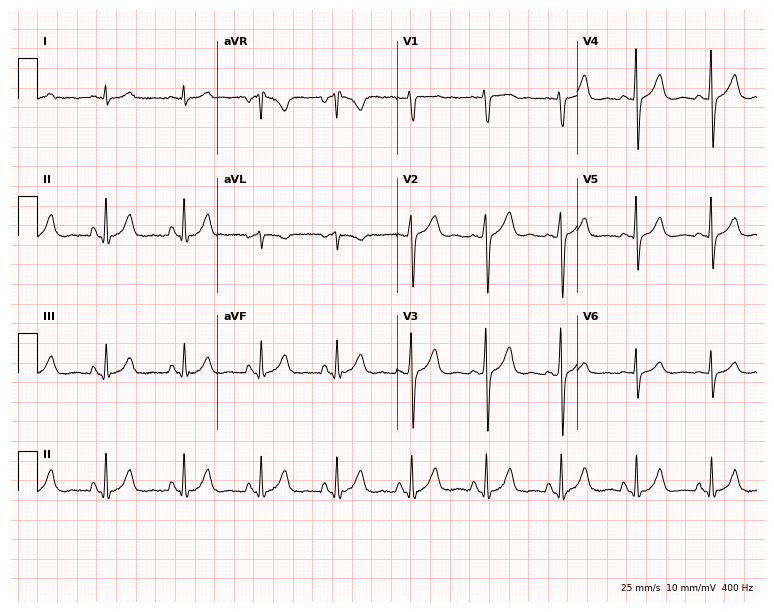
Electrocardiogram, a male patient, 54 years old. Of the six screened findings (first-degree AV block, right bundle branch block, left bundle branch block, sinus bradycardia, atrial fibrillation, sinus tachycardia), none is recorded. Findings outside these six are not listed.